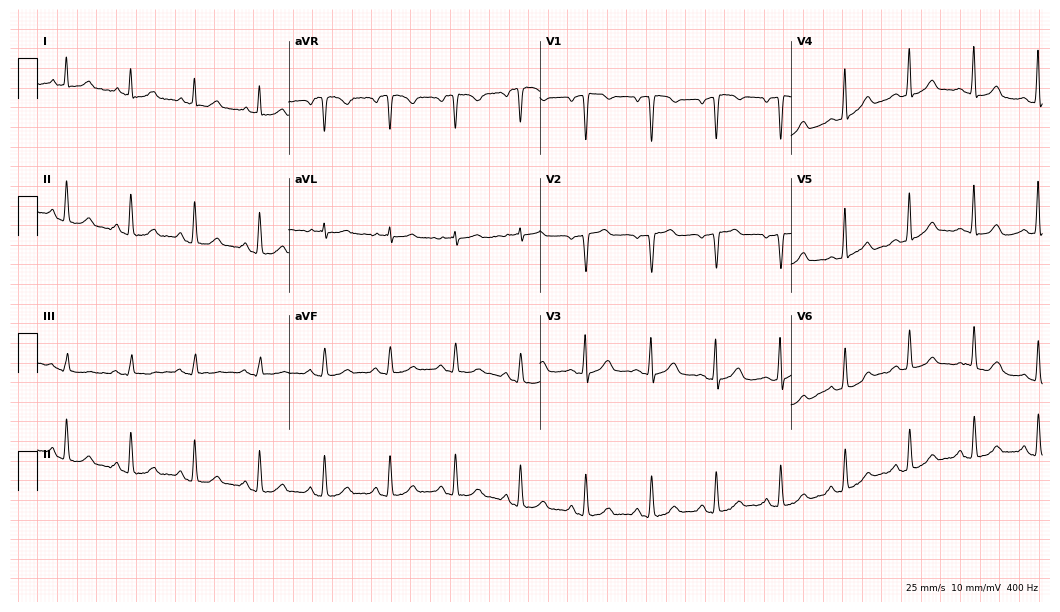
Standard 12-lead ECG recorded from a female patient, 50 years old (10.2-second recording at 400 Hz). Read as a normal ECG.